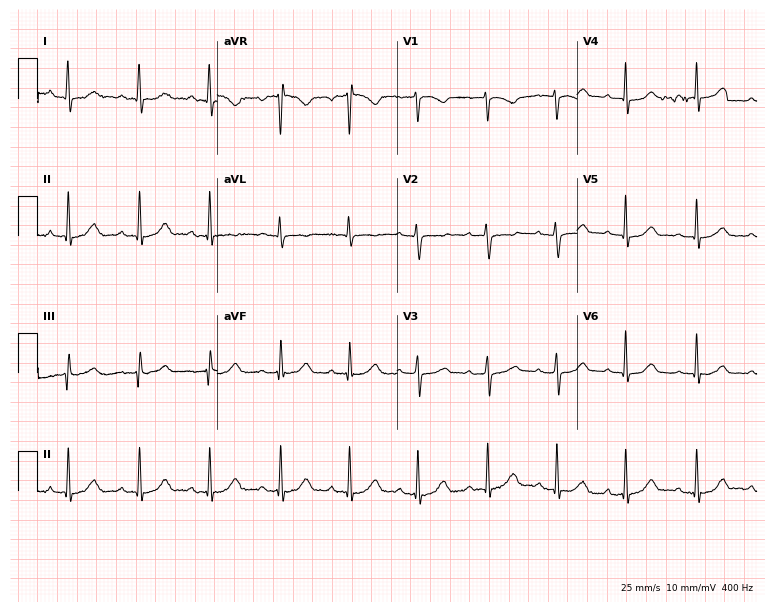
Electrocardiogram, a female, 29 years old. Of the six screened findings (first-degree AV block, right bundle branch block, left bundle branch block, sinus bradycardia, atrial fibrillation, sinus tachycardia), none is recorded. Findings outside these six are not listed.